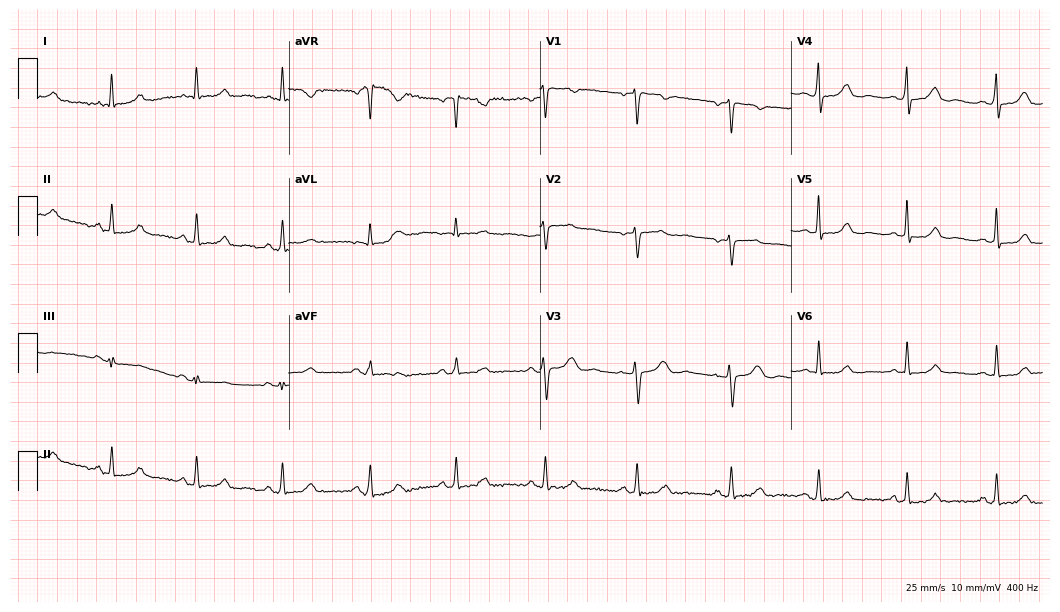
Electrocardiogram, a female, 51 years old. Overall reading on record: normal ECG.